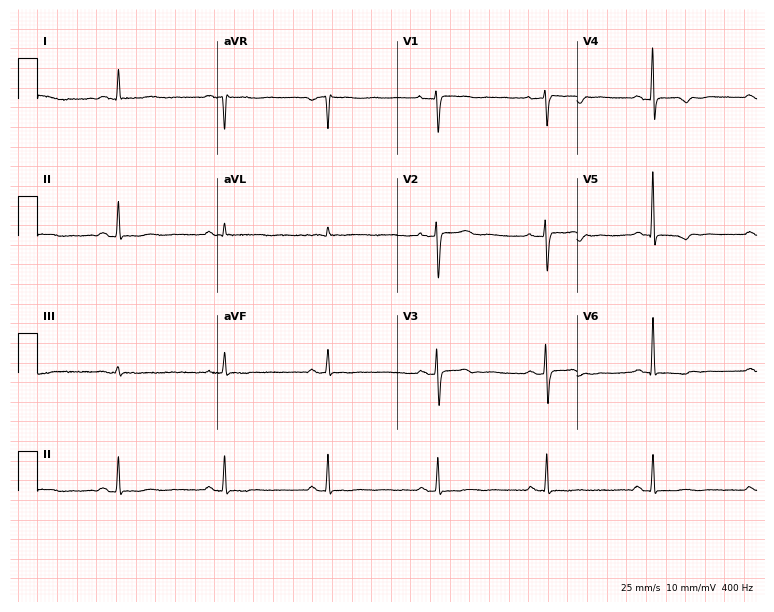
12-lead ECG from a 41-year-old female patient. Screened for six findings — first-degree AV block, right bundle branch block, left bundle branch block, sinus bradycardia, atrial fibrillation, sinus tachycardia — none is recorded. Findings outside these six are not listed.